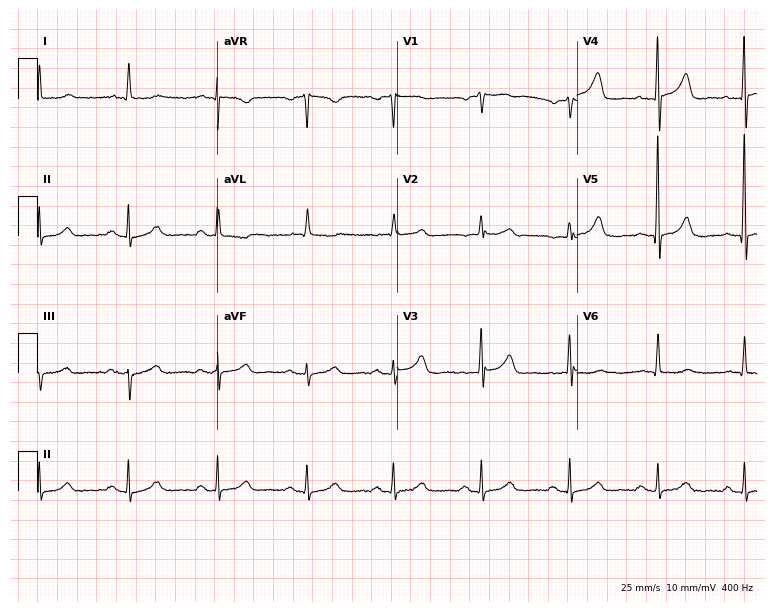
12-lead ECG from a female, 73 years old. No first-degree AV block, right bundle branch block, left bundle branch block, sinus bradycardia, atrial fibrillation or sinus tachycardia recorded for this tracing.